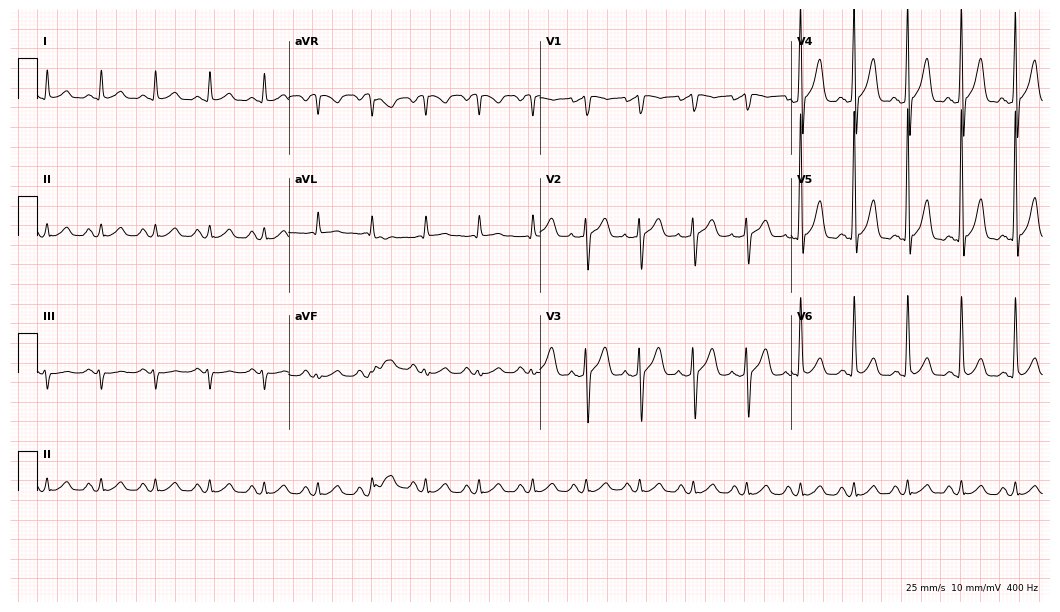
Electrocardiogram, a male, 73 years old. Interpretation includes sinus tachycardia (a sinus rate of 100 beats per minute or more).